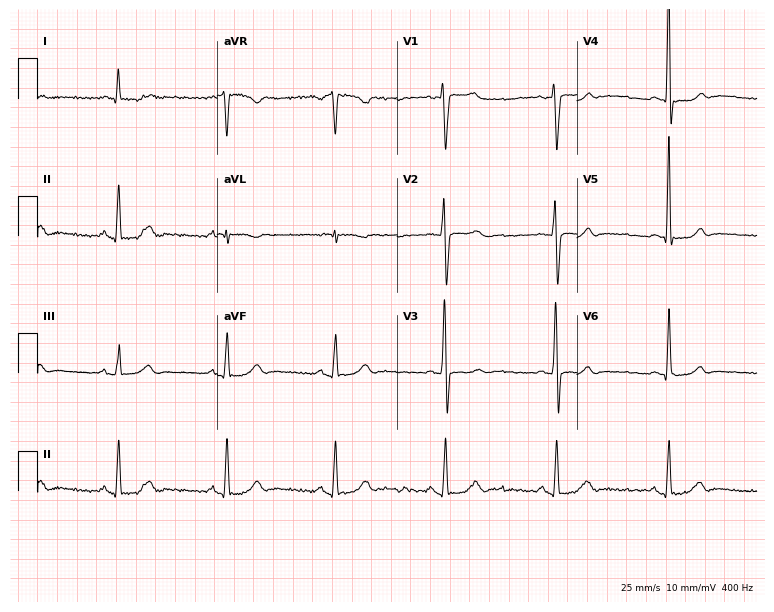
Resting 12-lead electrocardiogram. Patient: a man, 29 years old. Read as a normal ECG.